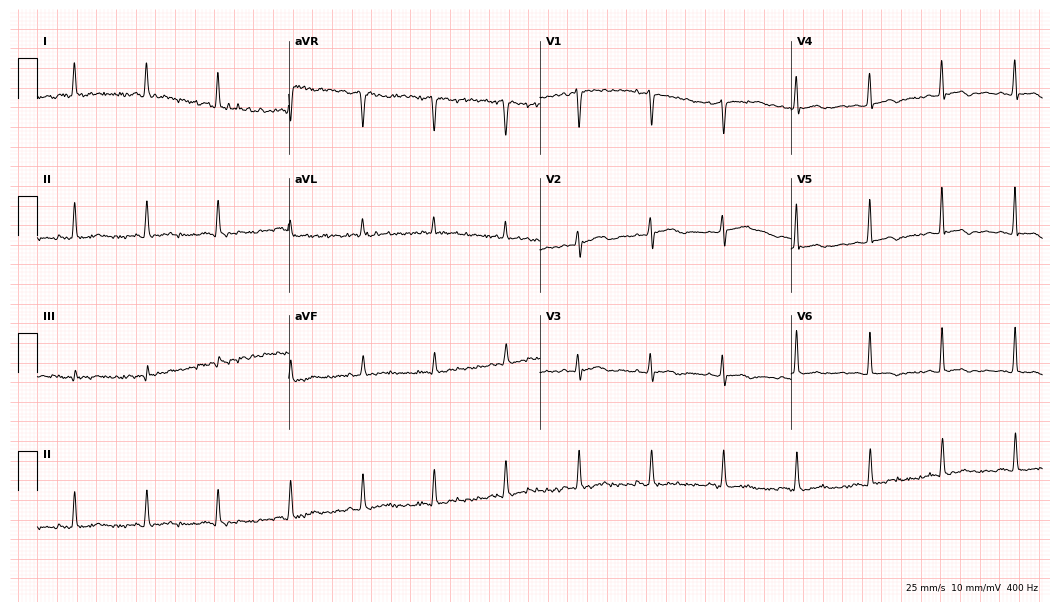
12-lead ECG (10.2-second recording at 400 Hz) from a 45-year-old female patient. Screened for six findings — first-degree AV block, right bundle branch block, left bundle branch block, sinus bradycardia, atrial fibrillation, sinus tachycardia — none is recorded. Other findings, if any, are not listed.